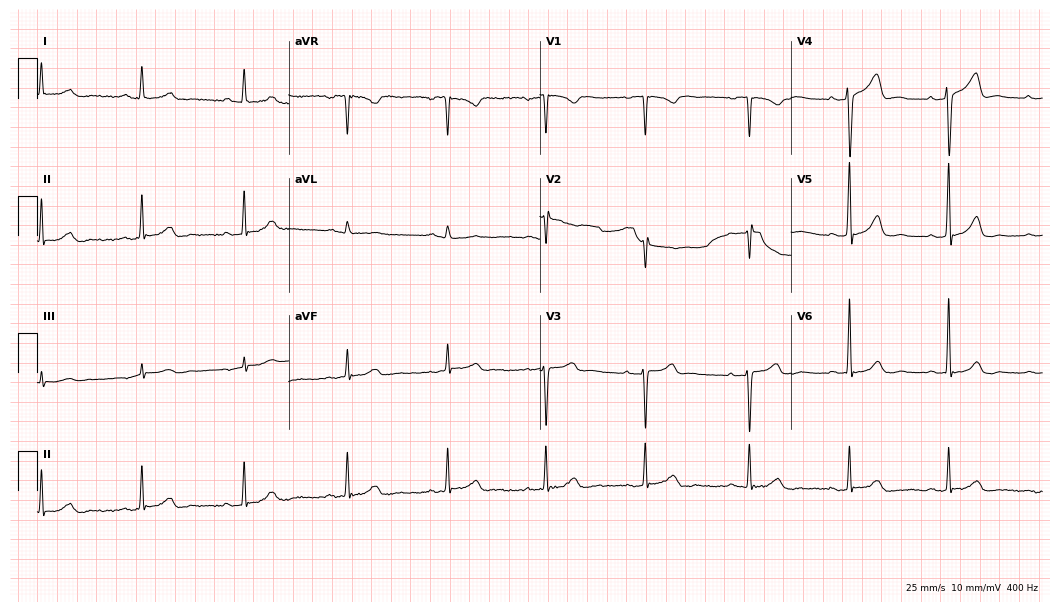
12-lead ECG (10.2-second recording at 400 Hz) from a 42-year-old female. Labelled as a normal ECG.